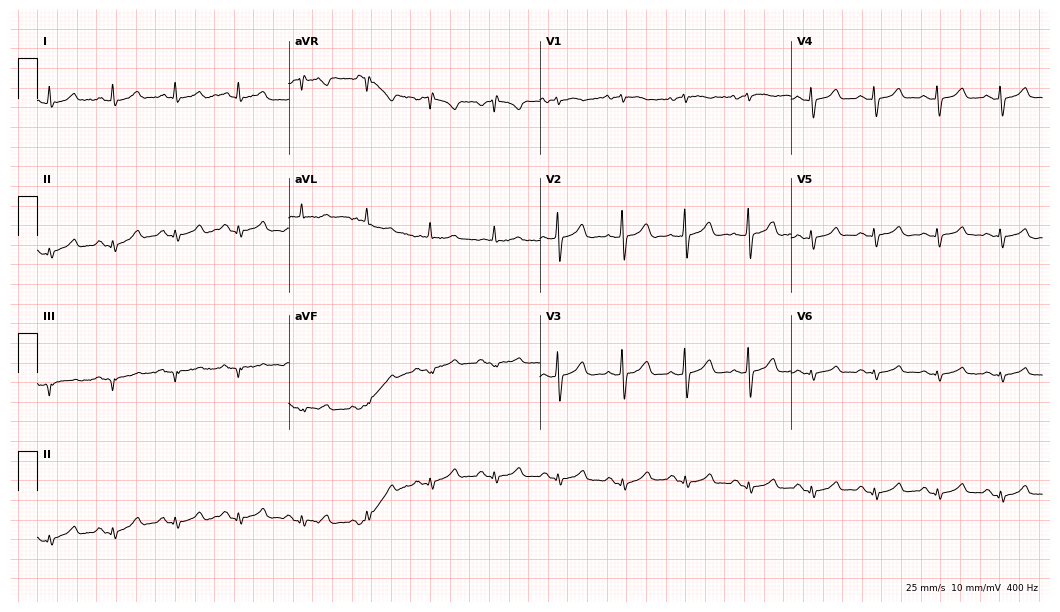
Standard 12-lead ECG recorded from an 82-year-old woman. Read as a normal ECG.